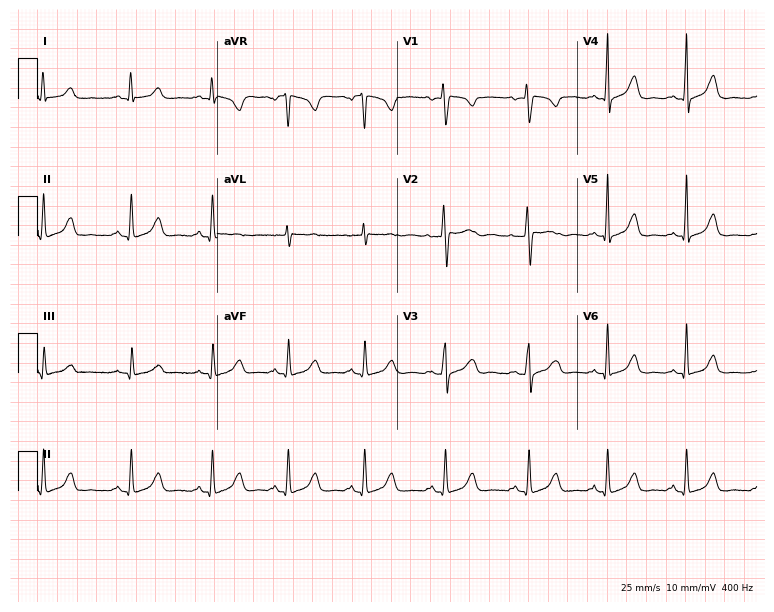
ECG (7.3-second recording at 400 Hz) — a female patient, 35 years old. Screened for six findings — first-degree AV block, right bundle branch block, left bundle branch block, sinus bradycardia, atrial fibrillation, sinus tachycardia — none is recorded. Findings outside these six are not listed.